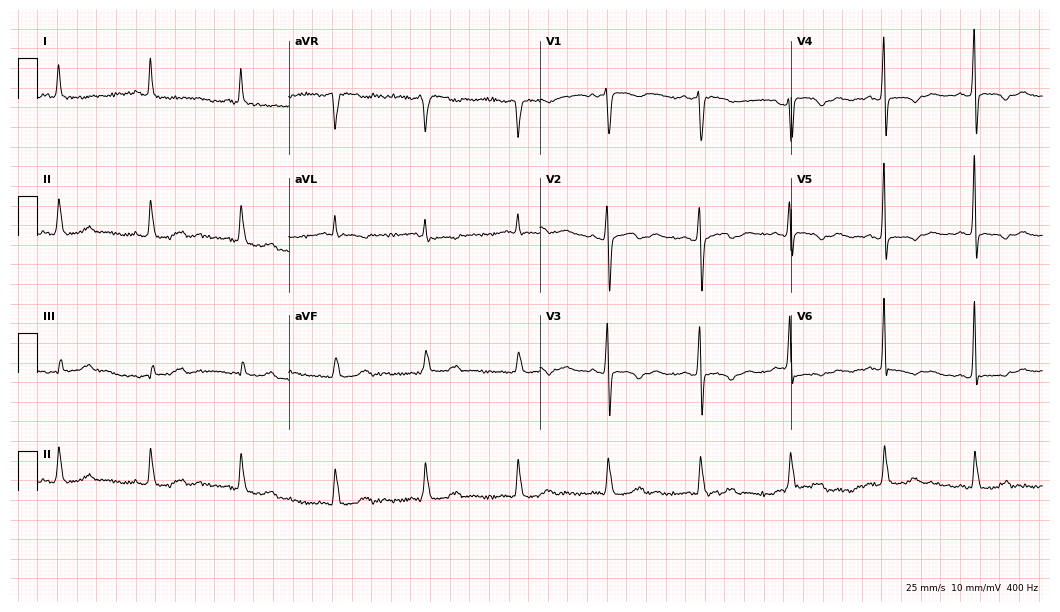
12-lead ECG from a female, 59 years old. No first-degree AV block, right bundle branch block, left bundle branch block, sinus bradycardia, atrial fibrillation or sinus tachycardia recorded for this tracing. Other findings, if any, are not listed.